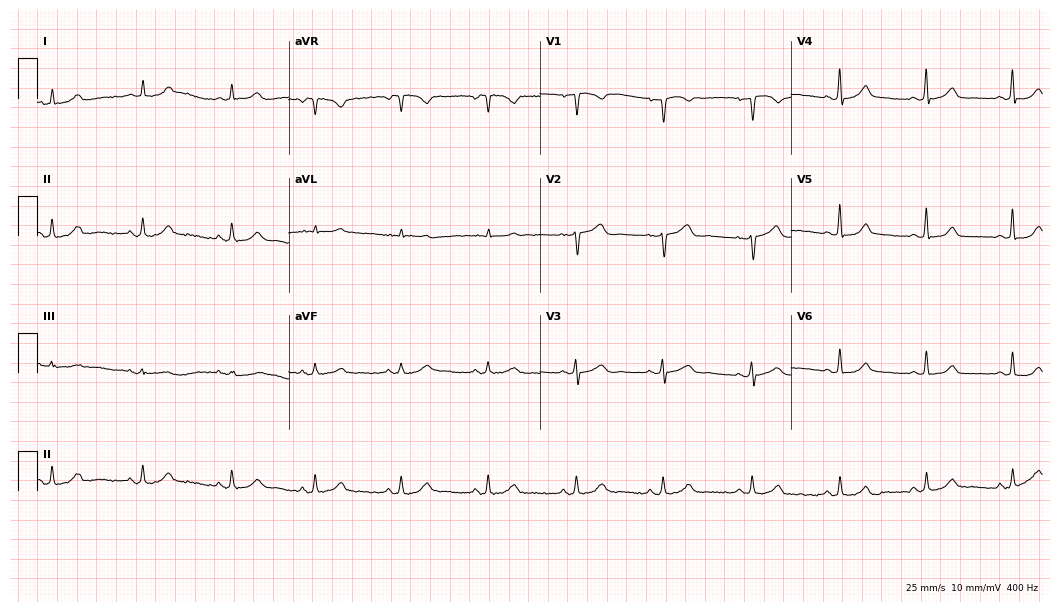
Resting 12-lead electrocardiogram (10.2-second recording at 400 Hz). Patient: a female, 45 years old. None of these six findings is recorded: first-degree AV block, right bundle branch block, left bundle branch block, sinus bradycardia, atrial fibrillation, sinus tachycardia.